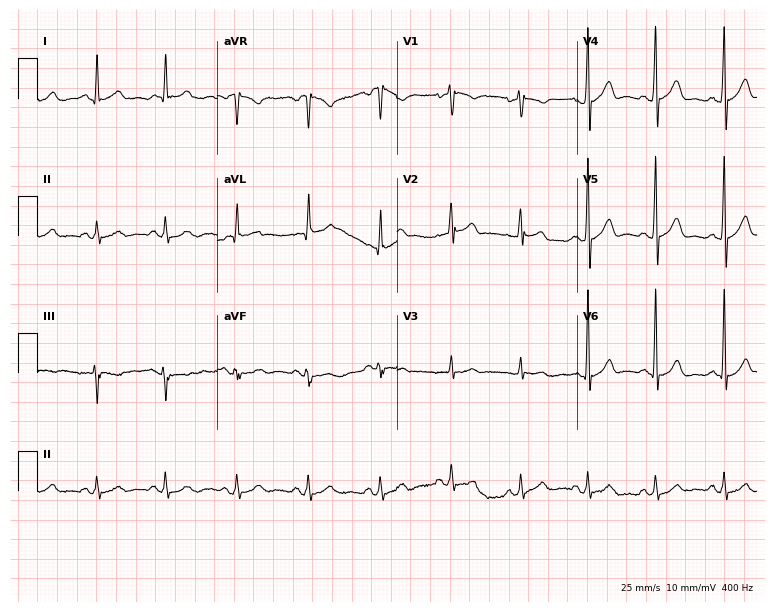
Electrocardiogram, a 50-year-old male patient. Overall reading on record: normal ECG.